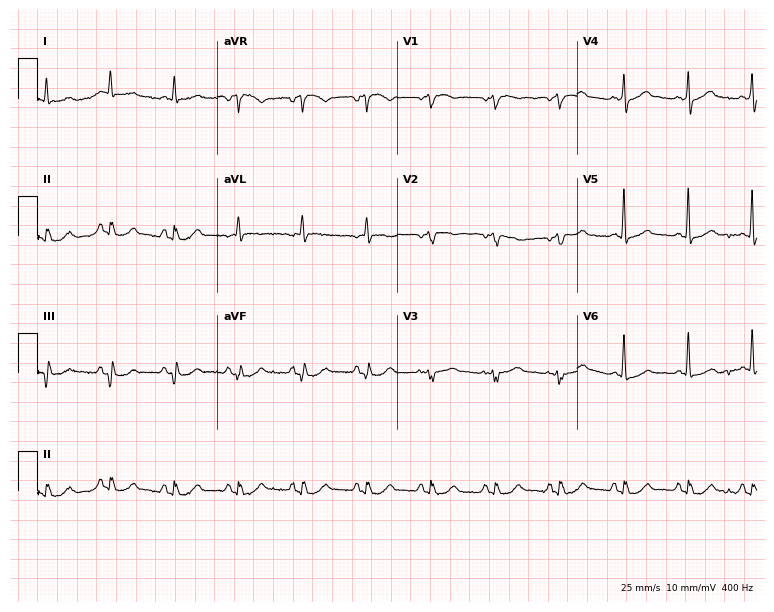
Resting 12-lead electrocardiogram. Patient: an 82-year-old man. Read as a normal ECG.